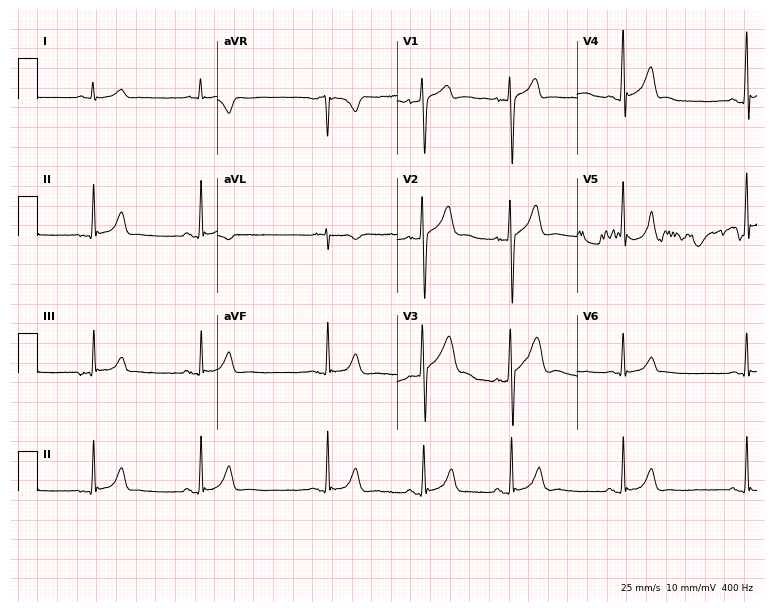
Resting 12-lead electrocardiogram (7.3-second recording at 400 Hz). Patient: a 21-year-old male. Read as a normal ECG.